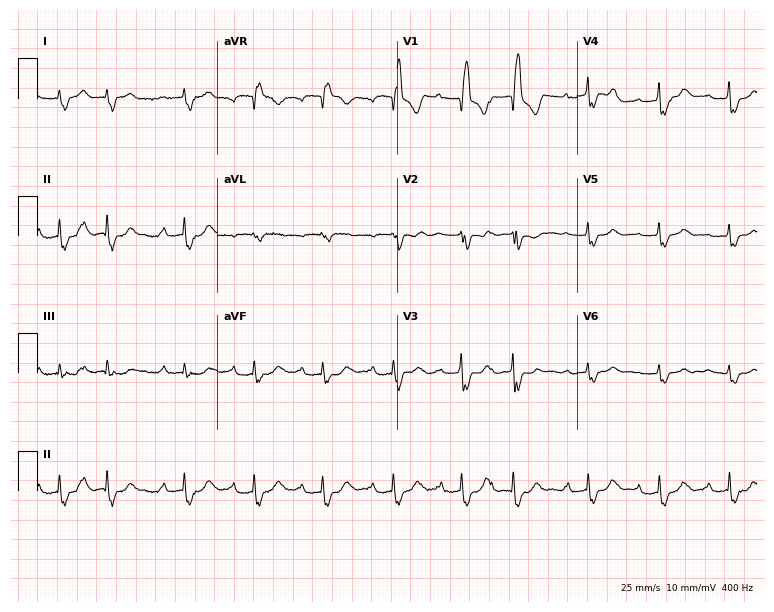
Standard 12-lead ECG recorded from a 75-year-old man (7.3-second recording at 400 Hz). The tracing shows first-degree AV block, right bundle branch block.